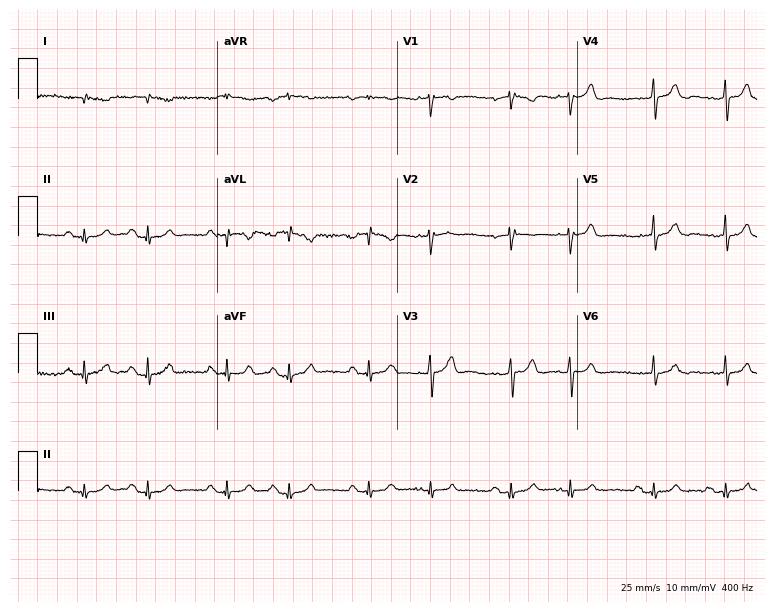
Electrocardiogram, an 81-year-old male patient. Of the six screened findings (first-degree AV block, right bundle branch block, left bundle branch block, sinus bradycardia, atrial fibrillation, sinus tachycardia), none is recorded. Other findings, if any, are not listed.